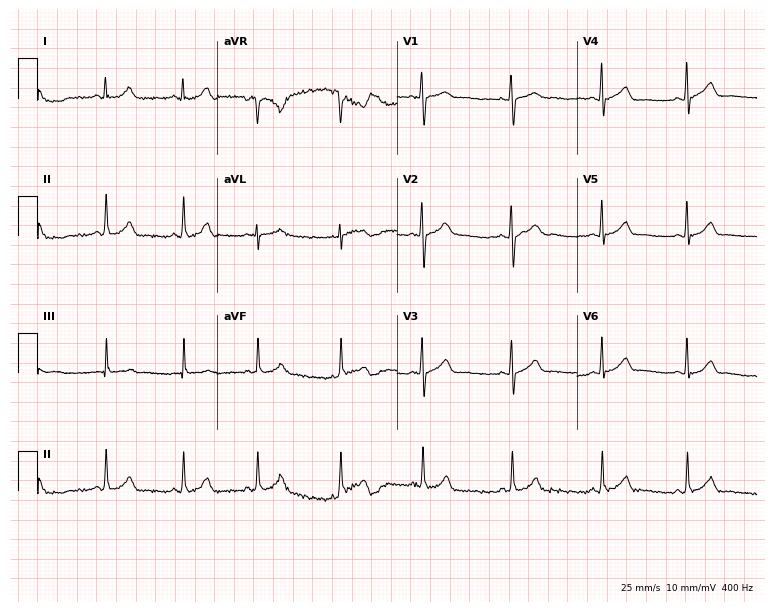
Resting 12-lead electrocardiogram (7.3-second recording at 400 Hz). Patient: a female, 26 years old. Read as a normal ECG.